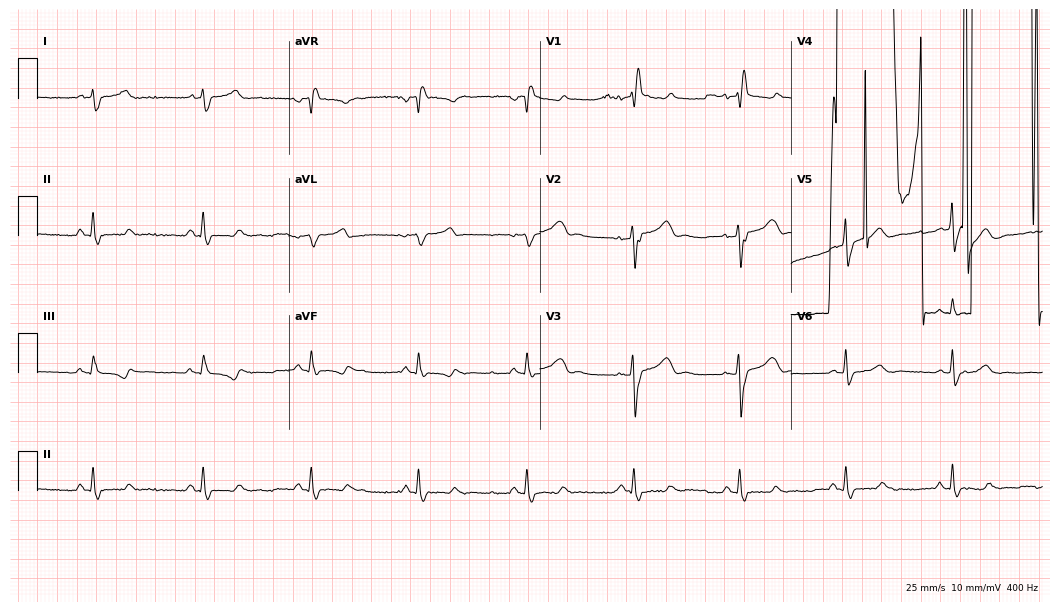
ECG (10.2-second recording at 400 Hz) — a 79-year-old man. Screened for six findings — first-degree AV block, right bundle branch block, left bundle branch block, sinus bradycardia, atrial fibrillation, sinus tachycardia — none is recorded. Other findings, if any, are not listed.